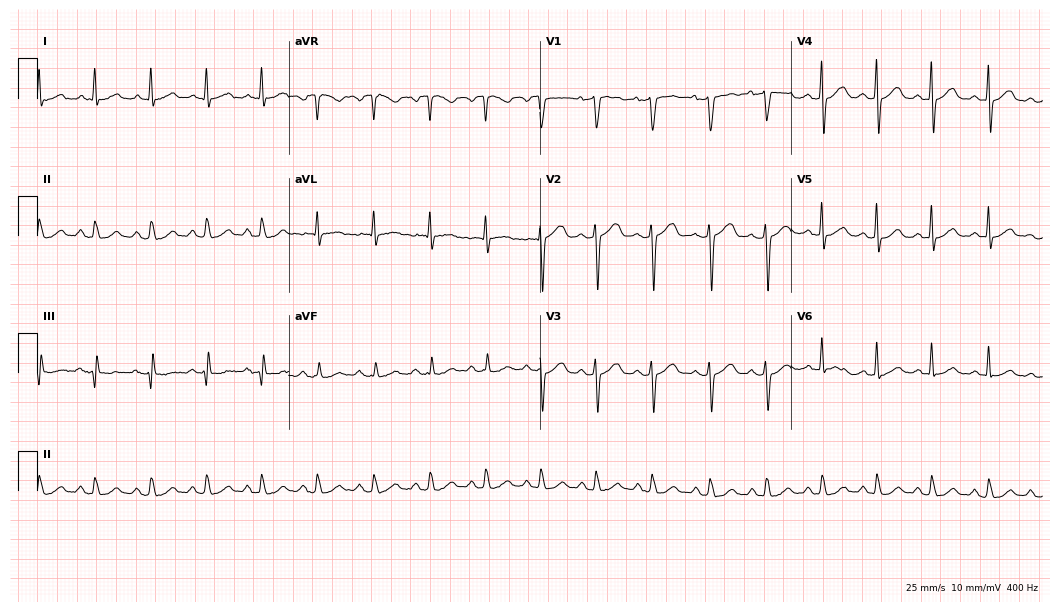
ECG (10.2-second recording at 400 Hz) — a female, 55 years old. Labelled as a normal ECG.